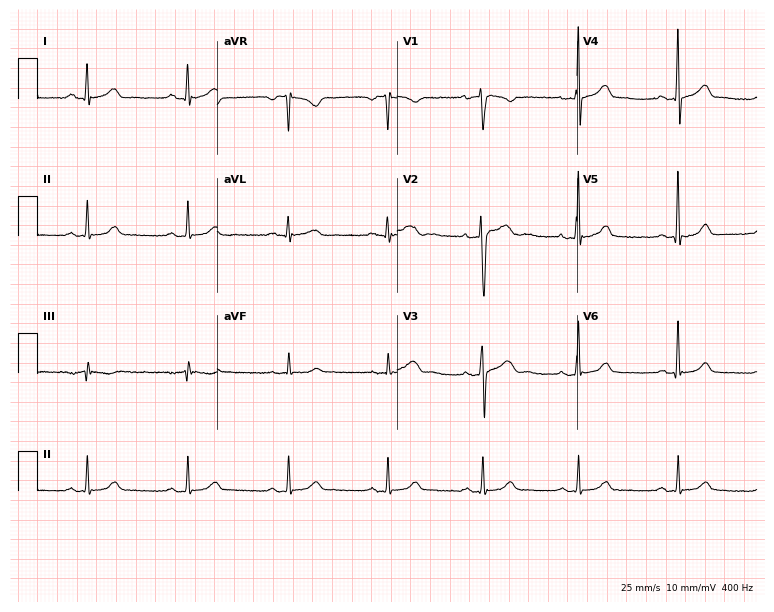
Electrocardiogram (7.3-second recording at 400 Hz), a 42-year-old male patient. Overall reading on record: normal ECG.